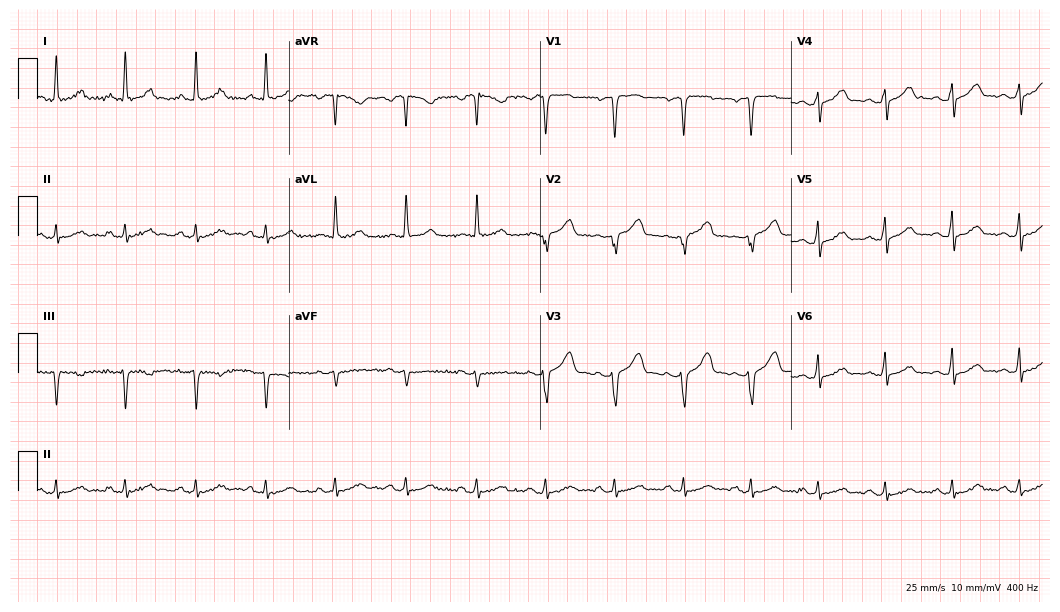
12-lead ECG (10.2-second recording at 400 Hz) from a 45-year-old female. Screened for six findings — first-degree AV block, right bundle branch block, left bundle branch block, sinus bradycardia, atrial fibrillation, sinus tachycardia — none is recorded. Only these six findings were labelled.